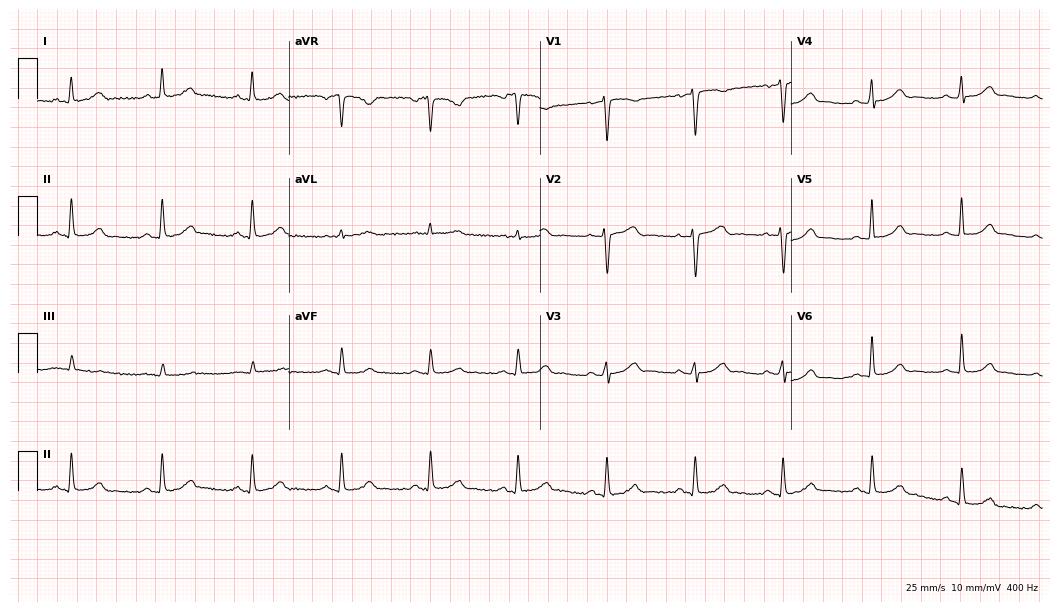
12-lead ECG from a 62-year-old male. Labelled as a normal ECG.